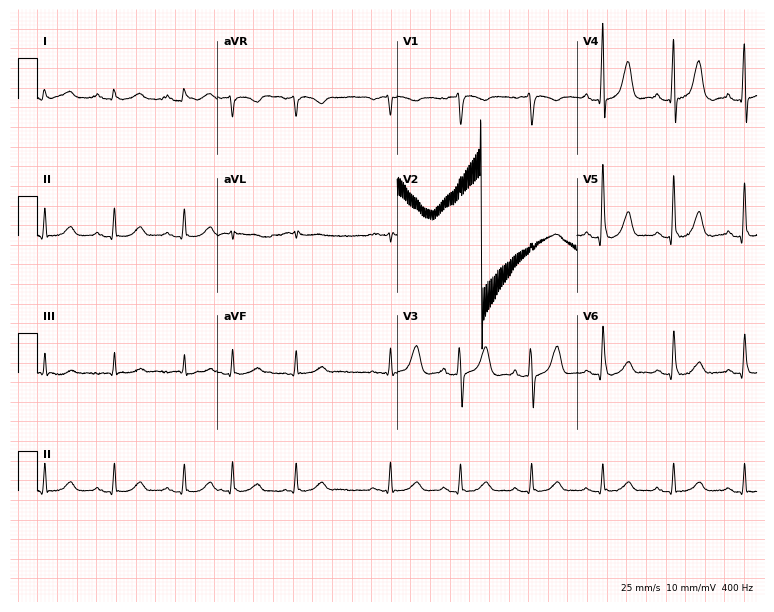
12-lead ECG from a male, 84 years old. No first-degree AV block, right bundle branch block (RBBB), left bundle branch block (LBBB), sinus bradycardia, atrial fibrillation (AF) or sinus tachycardia recorded for this tracing.